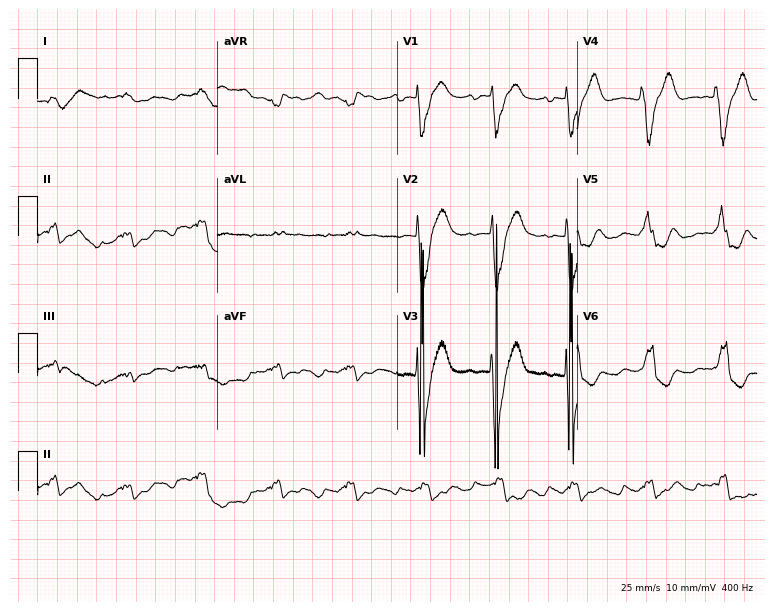
Electrocardiogram (7.3-second recording at 400 Hz), a 75-year-old female patient. Interpretation includes left bundle branch block.